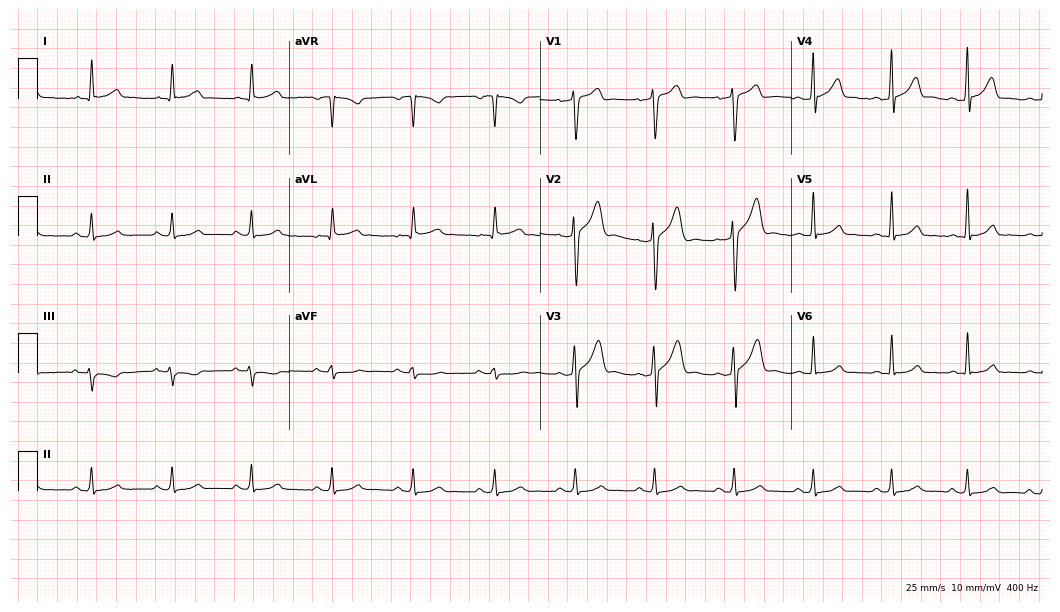
Resting 12-lead electrocardiogram. Patient: a male, 54 years old. Read as a normal ECG.